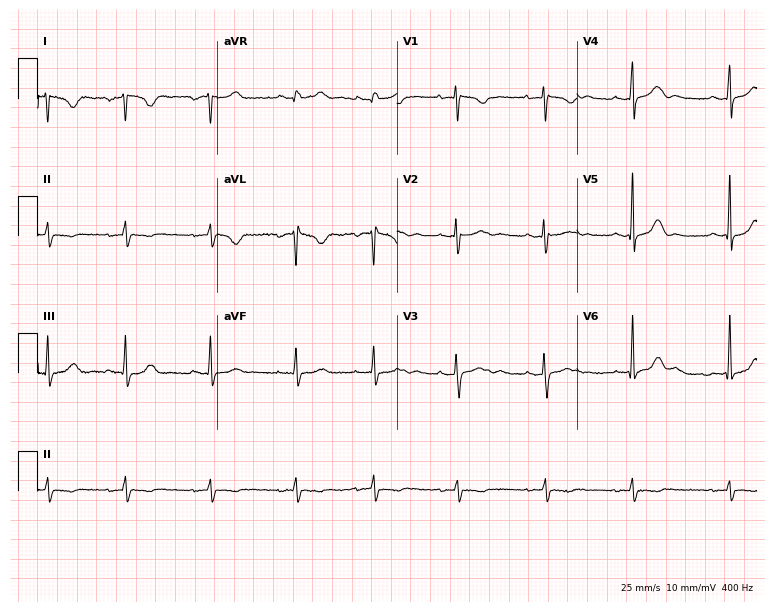
Resting 12-lead electrocardiogram. Patient: an 18-year-old female. None of these six findings is recorded: first-degree AV block, right bundle branch block, left bundle branch block, sinus bradycardia, atrial fibrillation, sinus tachycardia. Only these six findings were labelled.